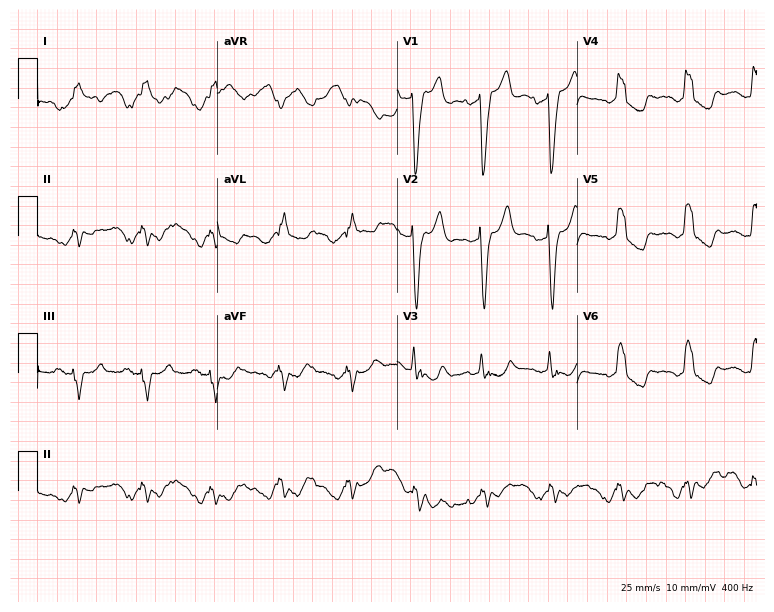
Resting 12-lead electrocardiogram. Patient: a 76-year-old woman. The tracing shows left bundle branch block.